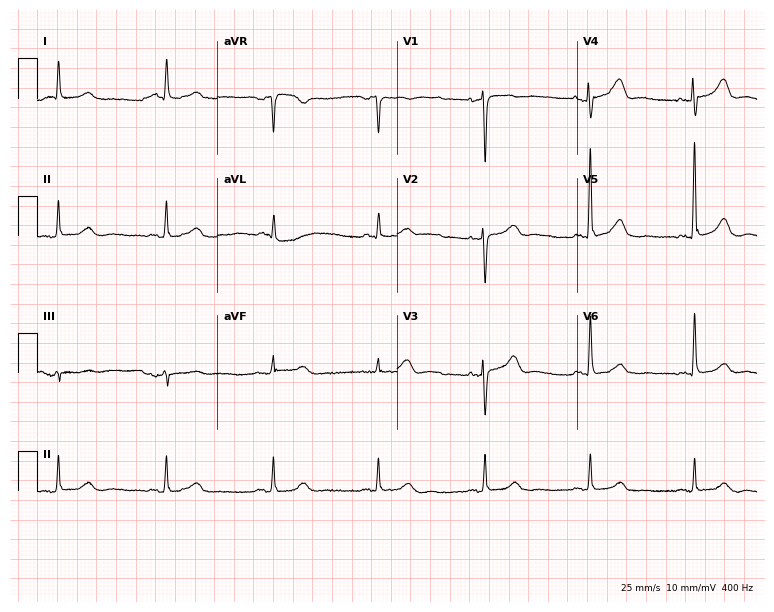
Standard 12-lead ECG recorded from a female patient, 83 years old (7.3-second recording at 400 Hz). Read as a normal ECG.